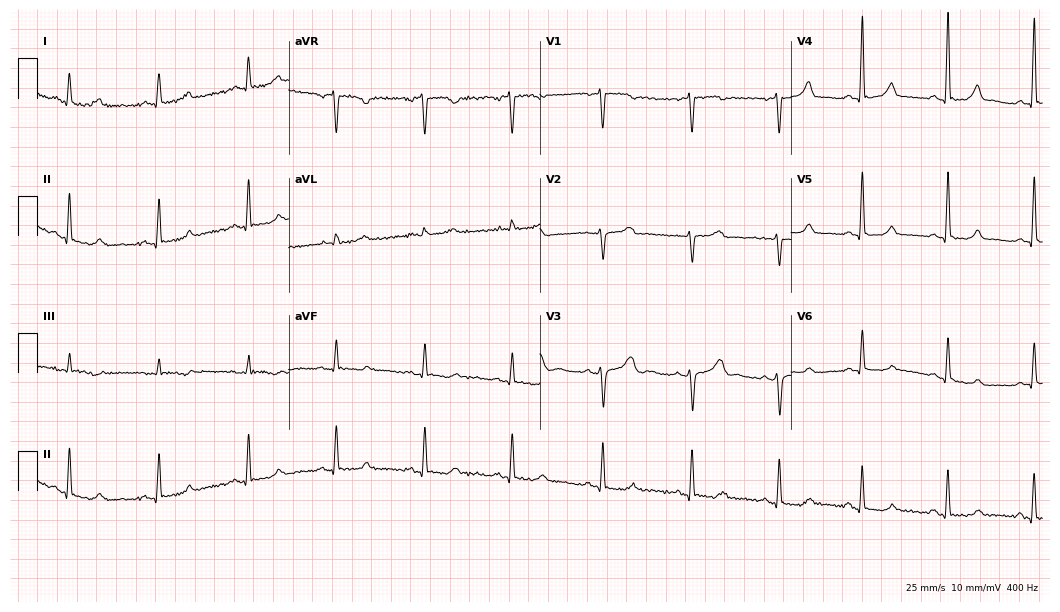
Electrocardiogram (10.2-second recording at 400 Hz), a 57-year-old female patient. Overall reading on record: normal ECG.